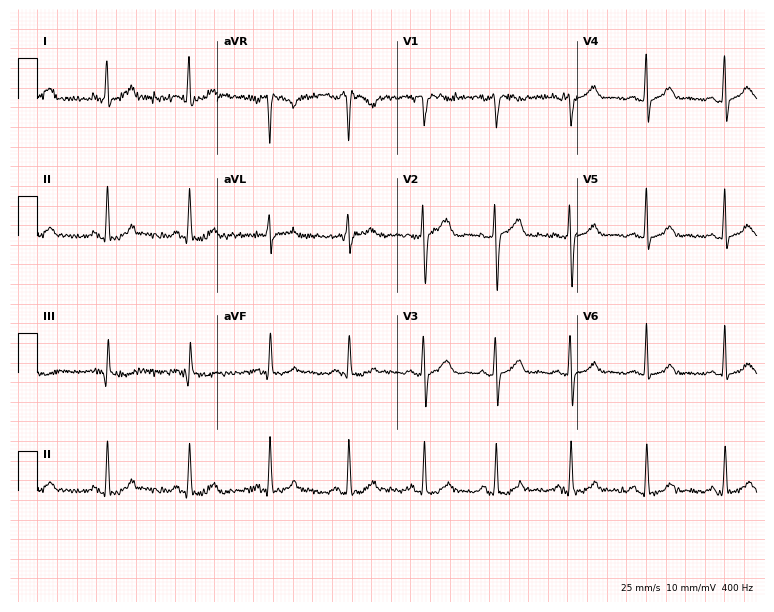
Resting 12-lead electrocardiogram (7.3-second recording at 400 Hz). Patient: a 32-year-old woman. None of these six findings is recorded: first-degree AV block, right bundle branch block, left bundle branch block, sinus bradycardia, atrial fibrillation, sinus tachycardia.